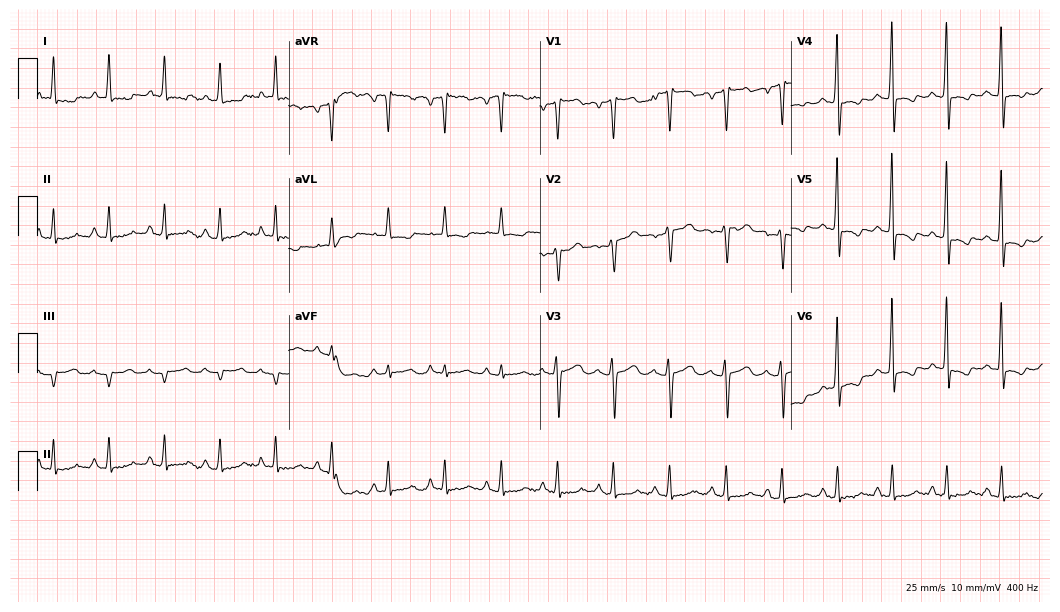
12-lead ECG from a female, 49 years old. No first-degree AV block, right bundle branch block, left bundle branch block, sinus bradycardia, atrial fibrillation or sinus tachycardia recorded for this tracing.